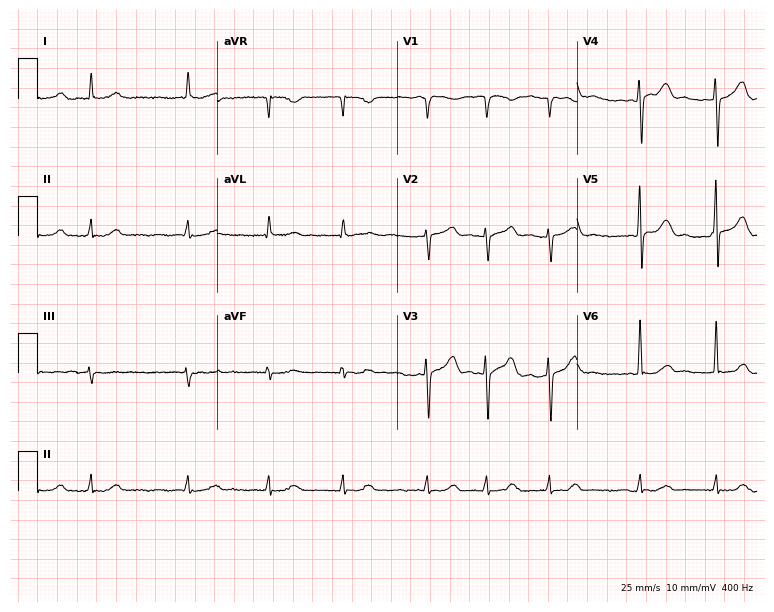
12-lead ECG from a male patient, 73 years old. Findings include atrial fibrillation.